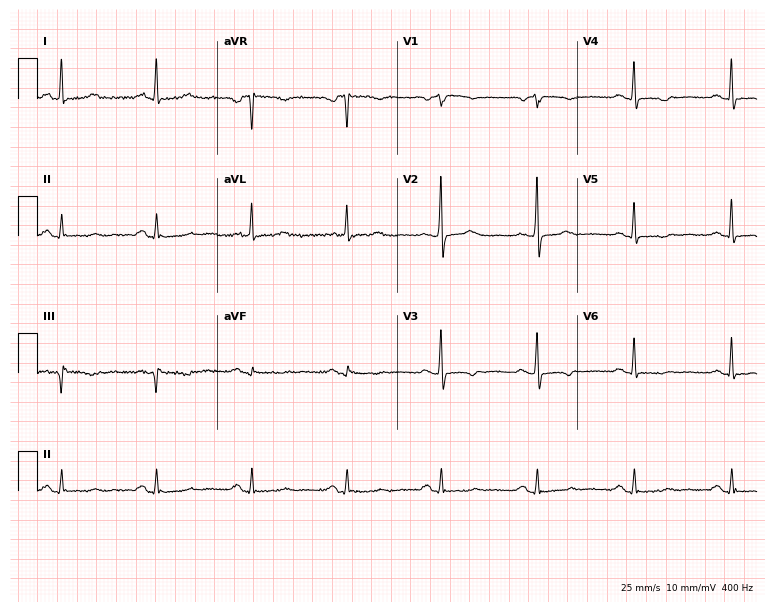
Electrocardiogram (7.3-second recording at 400 Hz), a 70-year-old female patient. Of the six screened findings (first-degree AV block, right bundle branch block, left bundle branch block, sinus bradycardia, atrial fibrillation, sinus tachycardia), none is recorded. Findings outside these six are not listed.